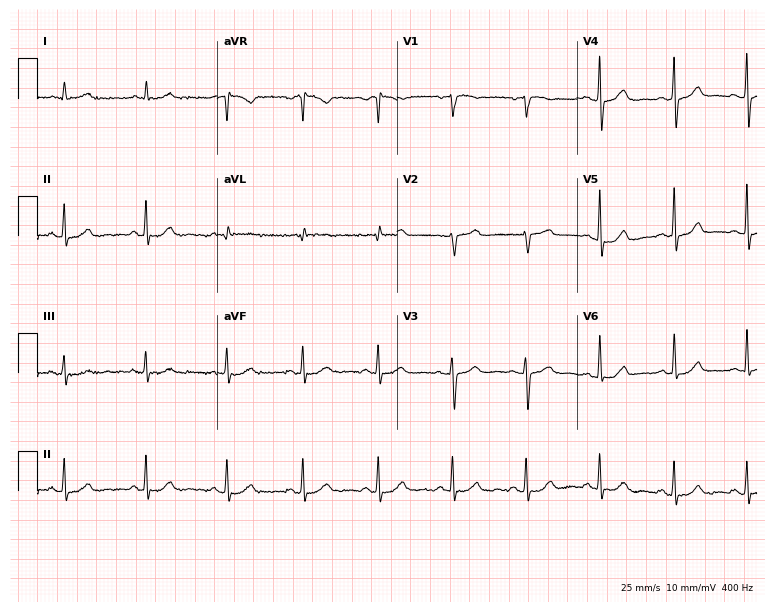
Resting 12-lead electrocardiogram. Patient: a female, 62 years old. Read as a normal ECG.